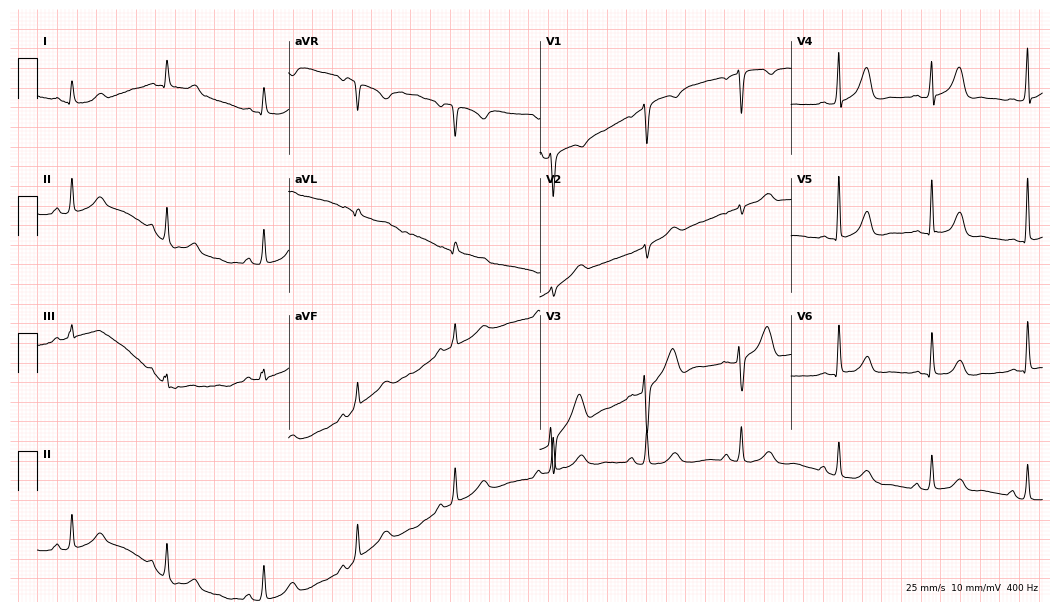
Resting 12-lead electrocardiogram (10.2-second recording at 400 Hz). Patient: a female, 48 years old. None of these six findings is recorded: first-degree AV block, right bundle branch block, left bundle branch block, sinus bradycardia, atrial fibrillation, sinus tachycardia. Only these six findings were labelled.